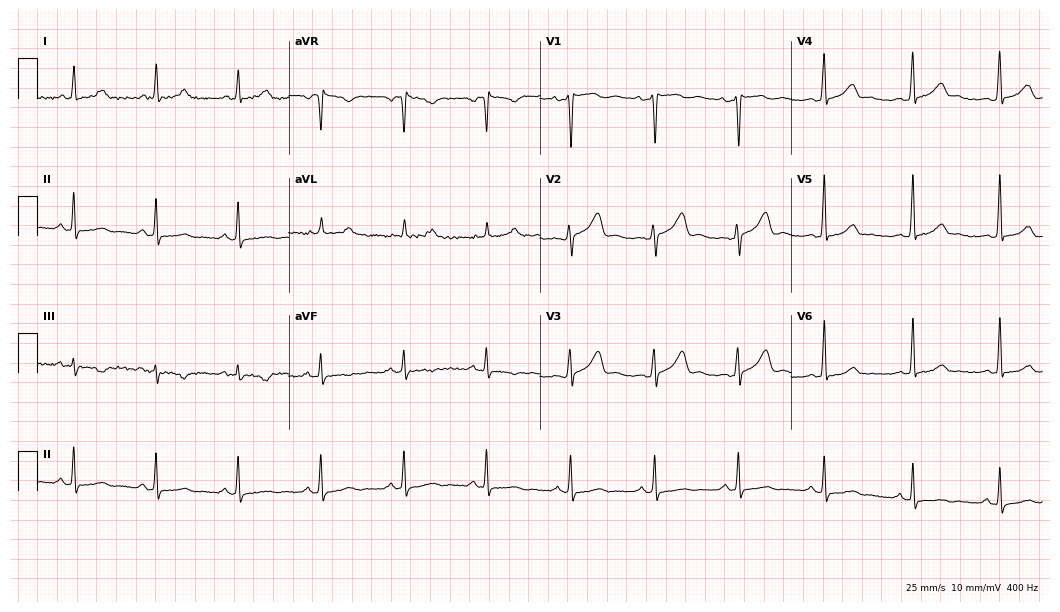
12-lead ECG from a 36-year-old female patient. Screened for six findings — first-degree AV block, right bundle branch block, left bundle branch block, sinus bradycardia, atrial fibrillation, sinus tachycardia — none is recorded.